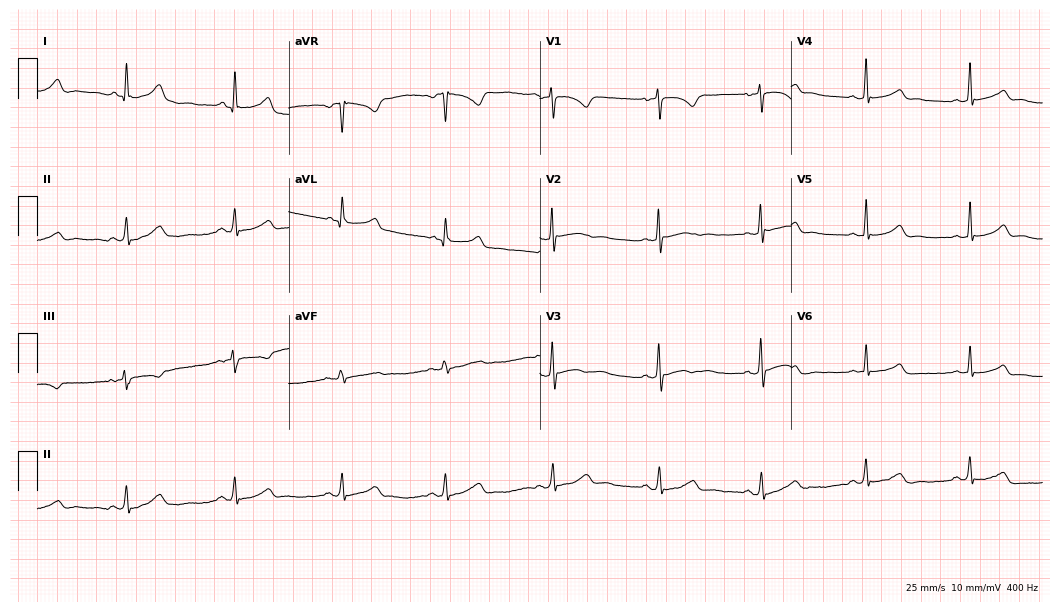
ECG — a woman, 32 years old. Labelled as a normal ECG.